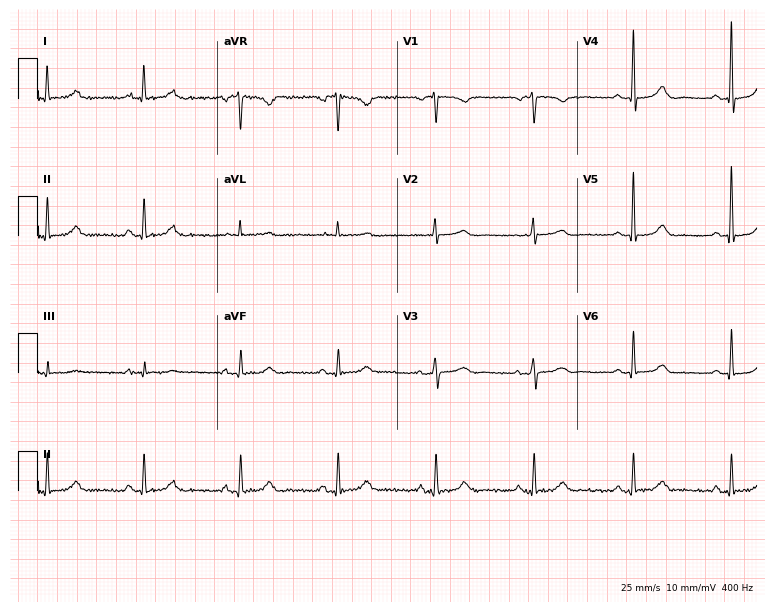
Resting 12-lead electrocardiogram (7.3-second recording at 400 Hz). Patient: a female, 66 years old. Read as a normal ECG.